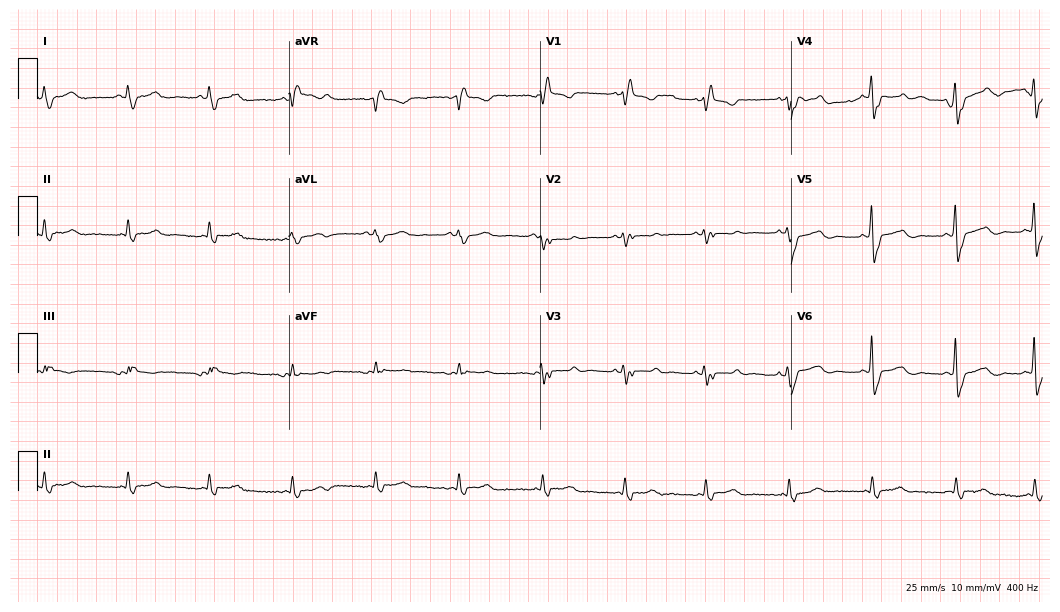
ECG (10.2-second recording at 400 Hz) — a 70-year-old female patient. Findings include right bundle branch block (RBBB).